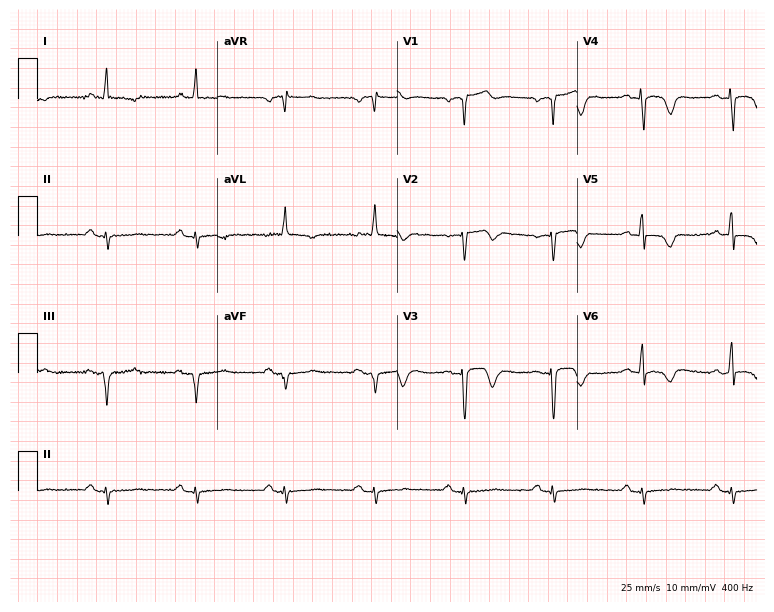
Electrocardiogram, a 72-year-old man. Of the six screened findings (first-degree AV block, right bundle branch block (RBBB), left bundle branch block (LBBB), sinus bradycardia, atrial fibrillation (AF), sinus tachycardia), none is recorded. Other findings, if any, are not listed.